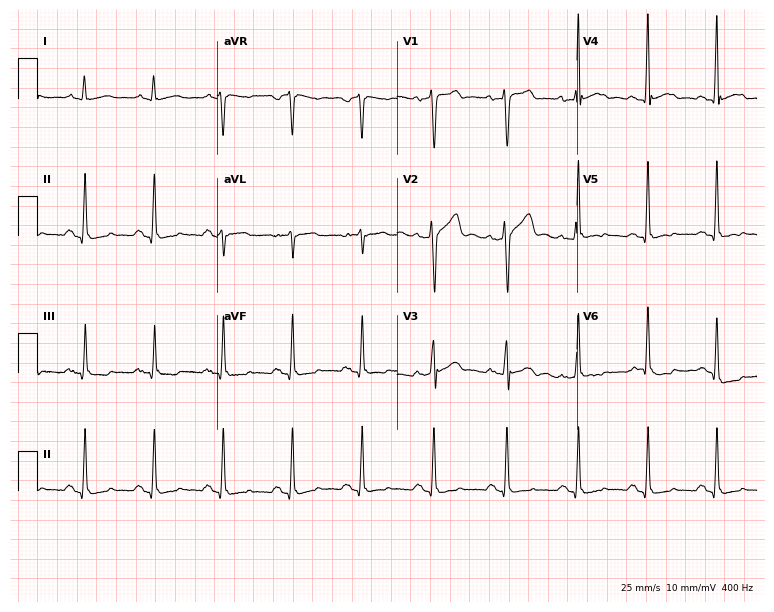
Resting 12-lead electrocardiogram (7.3-second recording at 400 Hz). Patient: a man, 47 years old. None of these six findings is recorded: first-degree AV block, right bundle branch block (RBBB), left bundle branch block (LBBB), sinus bradycardia, atrial fibrillation (AF), sinus tachycardia.